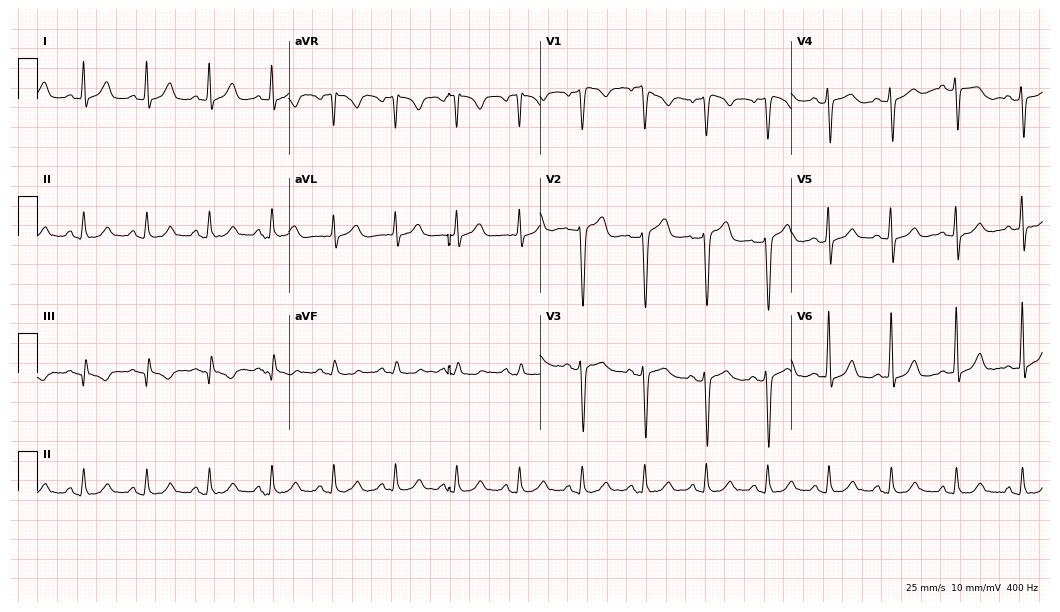
Standard 12-lead ECG recorded from a male patient, 43 years old (10.2-second recording at 400 Hz). Read as a normal ECG.